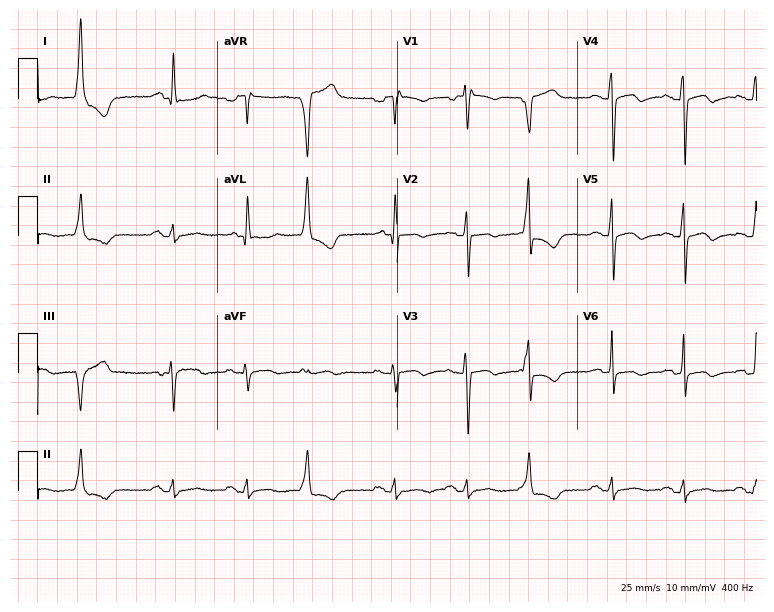
Electrocardiogram (7.3-second recording at 400 Hz), a woman, 58 years old. Of the six screened findings (first-degree AV block, right bundle branch block, left bundle branch block, sinus bradycardia, atrial fibrillation, sinus tachycardia), none is recorded. Only these six findings were labelled.